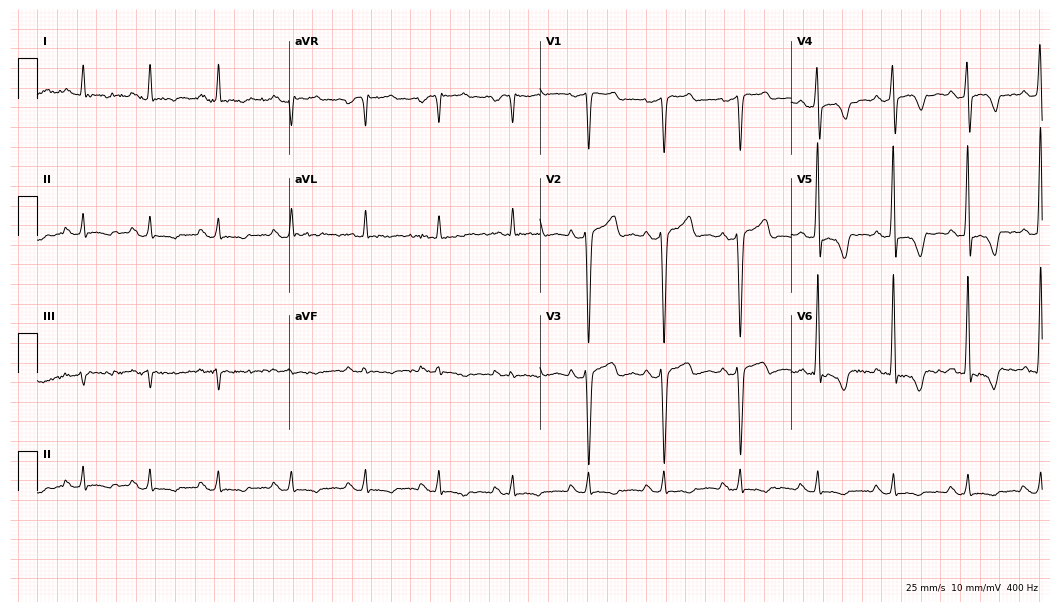
Electrocardiogram (10.2-second recording at 400 Hz), a 44-year-old male patient. Of the six screened findings (first-degree AV block, right bundle branch block, left bundle branch block, sinus bradycardia, atrial fibrillation, sinus tachycardia), none is recorded. Other findings, if any, are not listed.